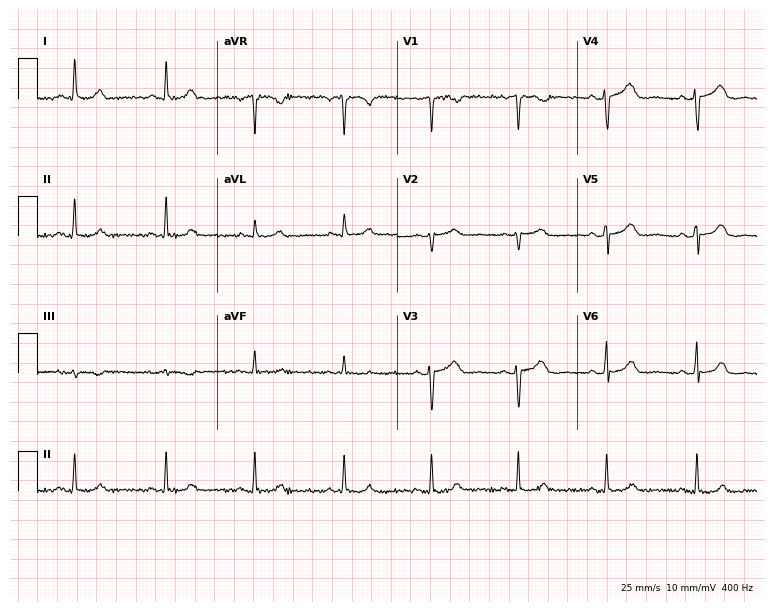
Electrocardiogram (7.3-second recording at 400 Hz), a woman, 43 years old. Of the six screened findings (first-degree AV block, right bundle branch block (RBBB), left bundle branch block (LBBB), sinus bradycardia, atrial fibrillation (AF), sinus tachycardia), none is recorded. Only these six findings were labelled.